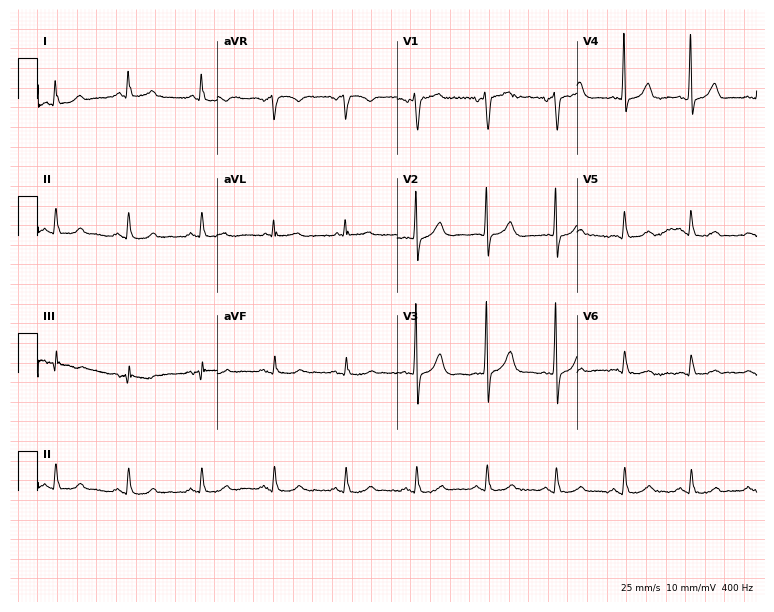
12-lead ECG (7.3-second recording at 400 Hz) from a 61-year-old male. Screened for six findings — first-degree AV block, right bundle branch block, left bundle branch block, sinus bradycardia, atrial fibrillation, sinus tachycardia — none is recorded.